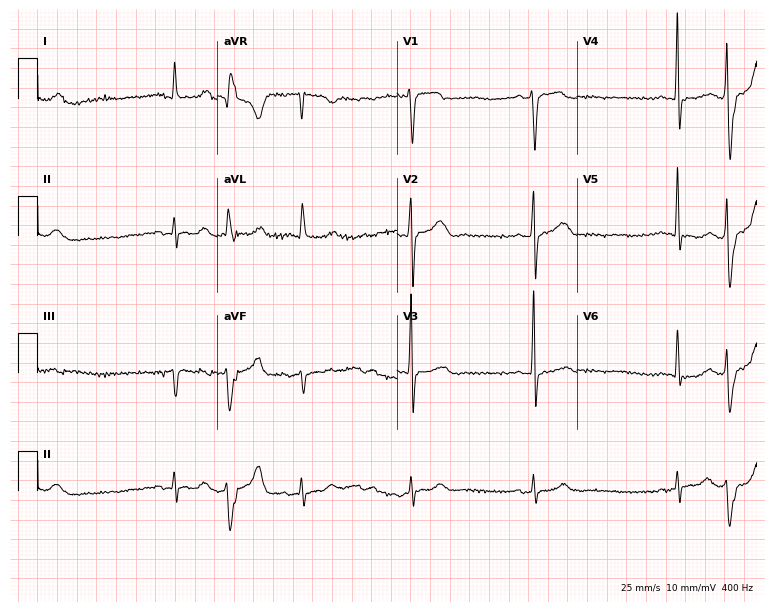
Electrocardiogram, an 81-year-old male patient. Of the six screened findings (first-degree AV block, right bundle branch block, left bundle branch block, sinus bradycardia, atrial fibrillation, sinus tachycardia), none is recorded.